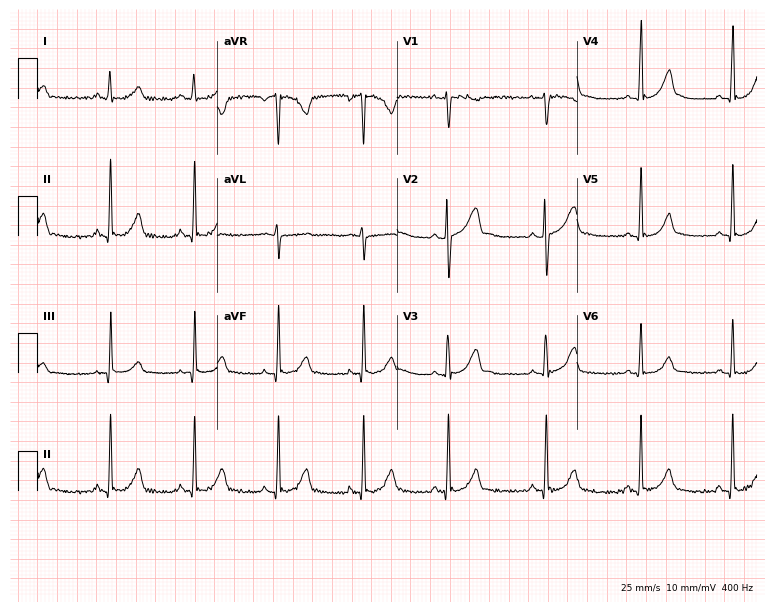
12-lead ECG from a female patient, 17 years old. Labelled as a normal ECG.